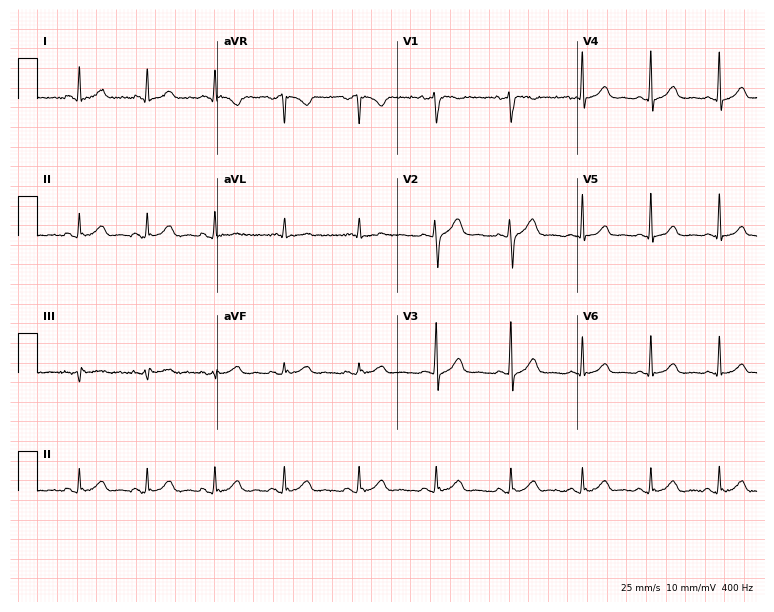
Resting 12-lead electrocardiogram (7.3-second recording at 400 Hz). Patient: a female, 43 years old. None of these six findings is recorded: first-degree AV block, right bundle branch block (RBBB), left bundle branch block (LBBB), sinus bradycardia, atrial fibrillation (AF), sinus tachycardia.